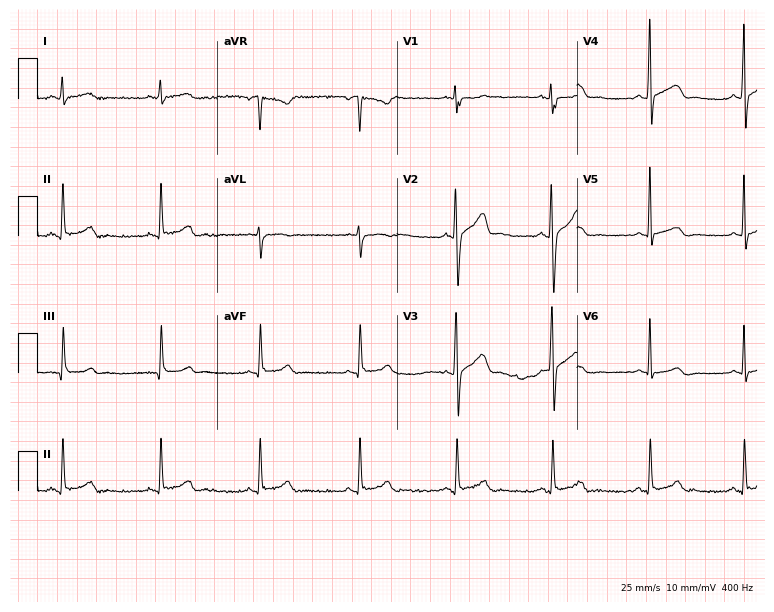
Resting 12-lead electrocardiogram. Patient: a male, 33 years old. Read as a normal ECG.